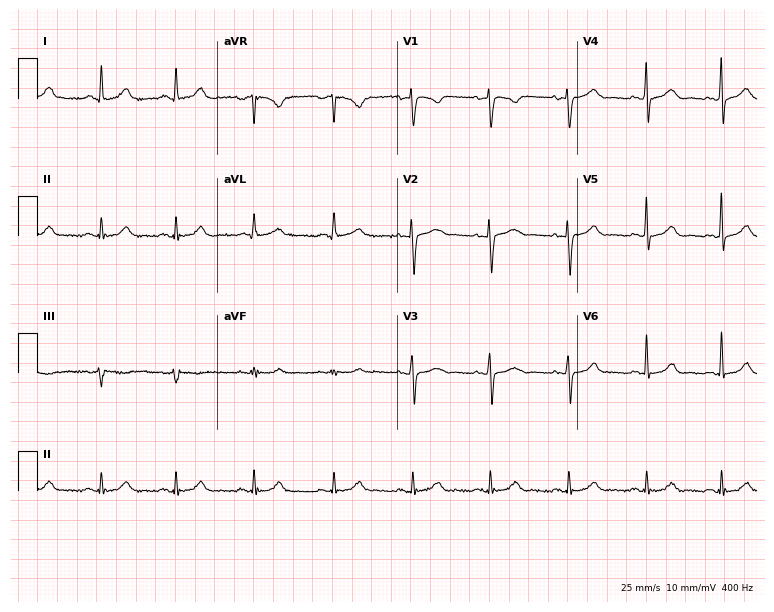
ECG — a female, 41 years old. Labelled as a normal ECG.